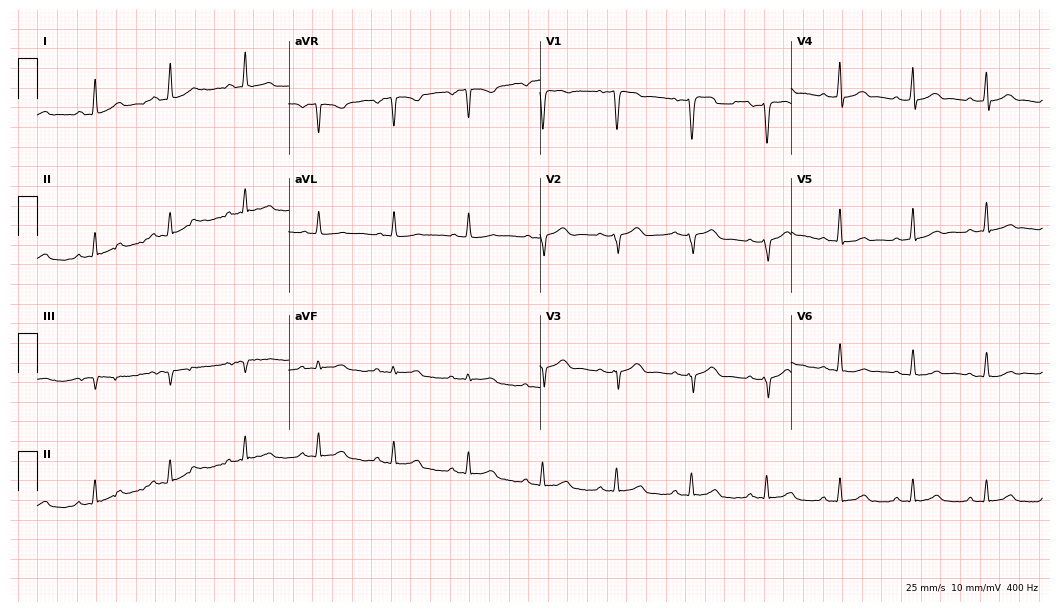
Resting 12-lead electrocardiogram (10.2-second recording at 400 Hz). Patient: a 53-year-old female. None of these six findings is recorded: first-degree AV block, right bundle branch block (RBBB), left bundle branch block (LBBB), sinus bradycardia, atrial fibrillation (AF), sinus tachycardia.